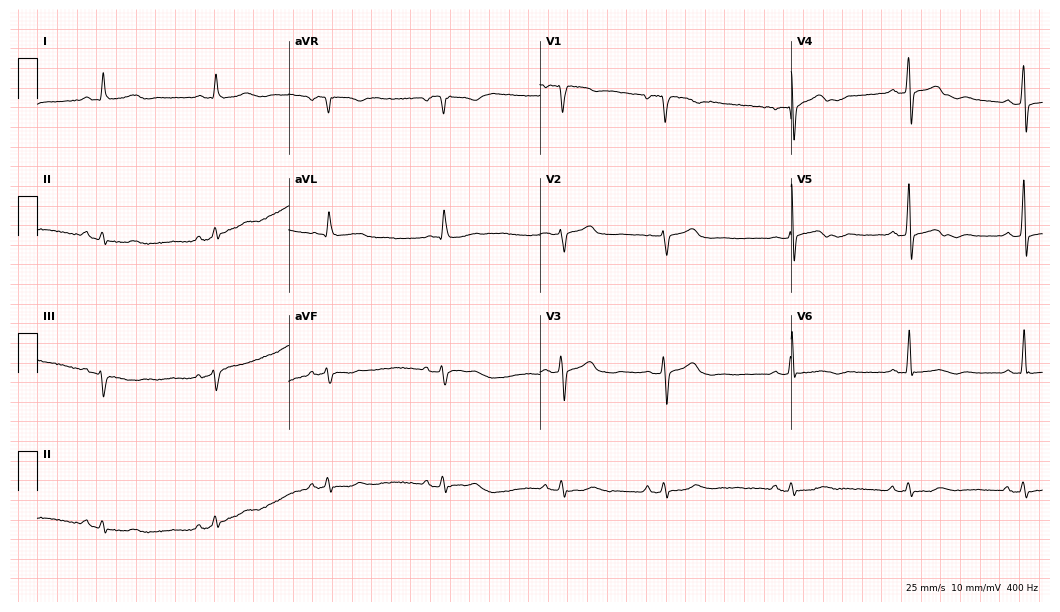
Electrocardiogram, a 77-year-old man. Overall reading on record: normal ECG.